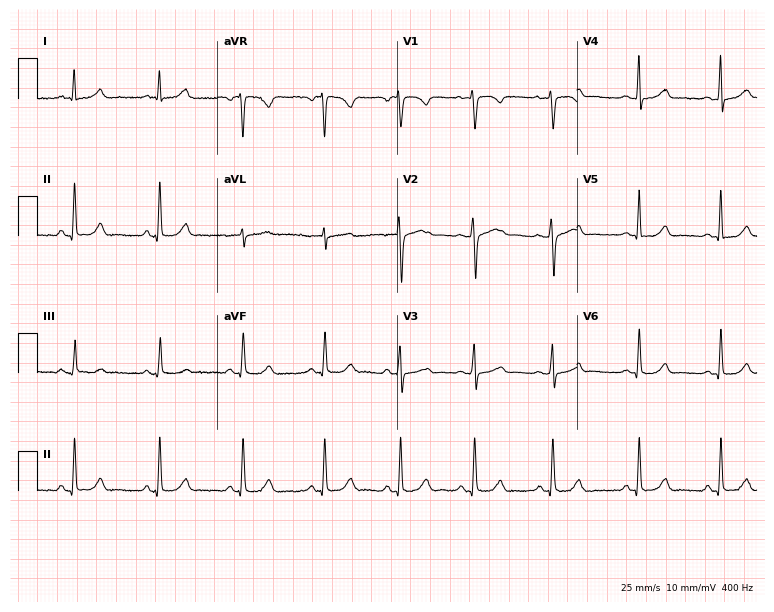
Resting 12-lead electrocardiogram. Patient: a 26-year-old female. None of these six findings is recorded: first-degree AV block, right bundle branch block, left bundle branch block, sinus bradycardia, atrial fibrillation, sinus tachycardia. Findings outside these six are not listed.